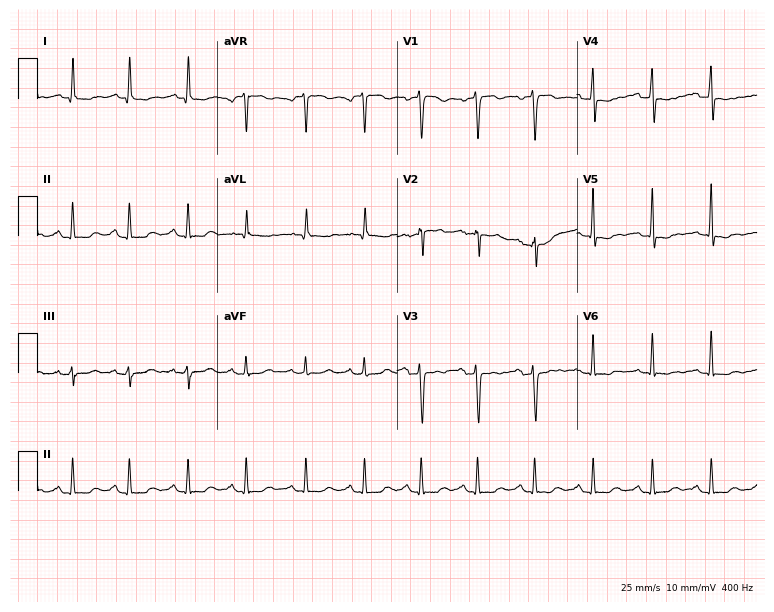
12-lead ECG from a 47-year-old female patient (7.3-second recording at 400 Hz). No first-degree AV block, right bundle branch block, left bundle branch block, sinus bradycardia, atrial fibrillation or sinus tachycardia recorded for this tracing. Other findings, if any, are not listed.